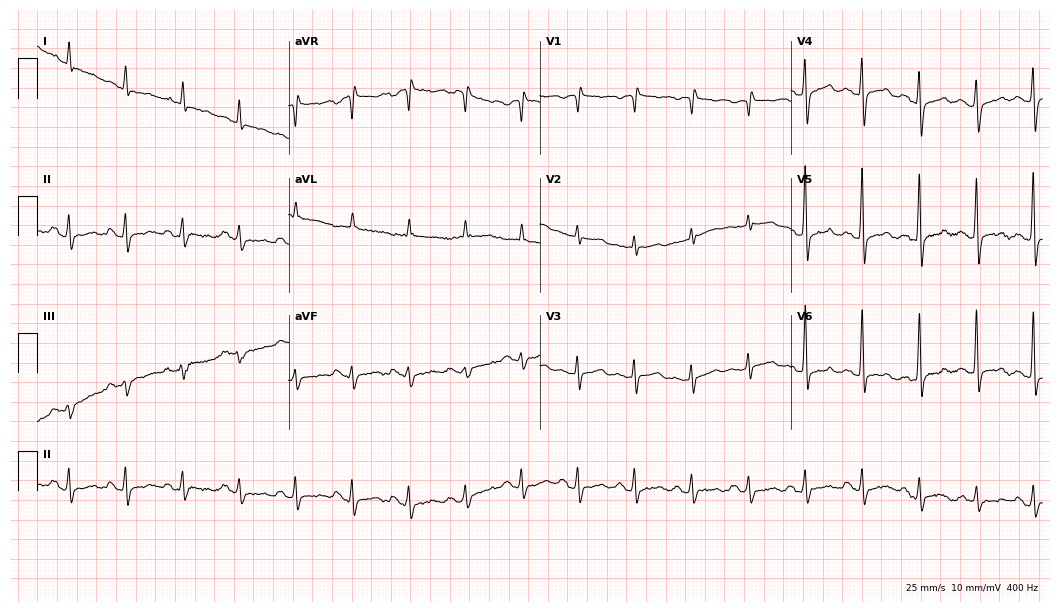
12-lead ECG from a male, 62 years old. Screened for six findings — first-degree AV block, right bundle branch block, left bundle branch block, sinus bradycardia, atrial fibrillation, sinus tachycardia — none is recorded.